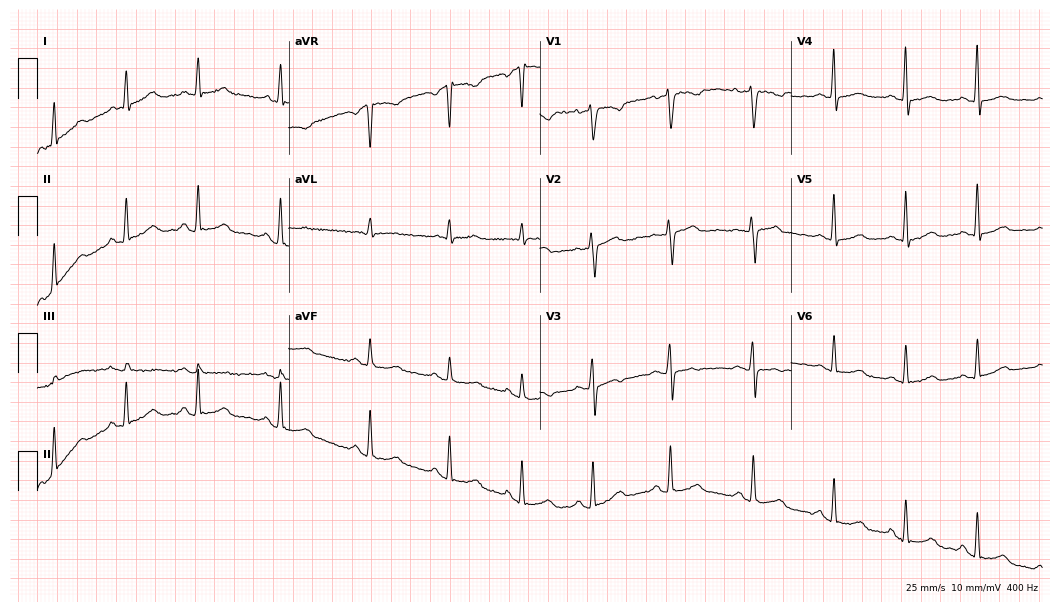
12-lead ECG from a woman, 39 years old. Screened for six findings — first-degree AV block, right bundle branch block, left bundle branch block, sinus bradycardia, atrial fibrillation, sinus tachycardia — none is recorded. Findings outside these six are not listed.